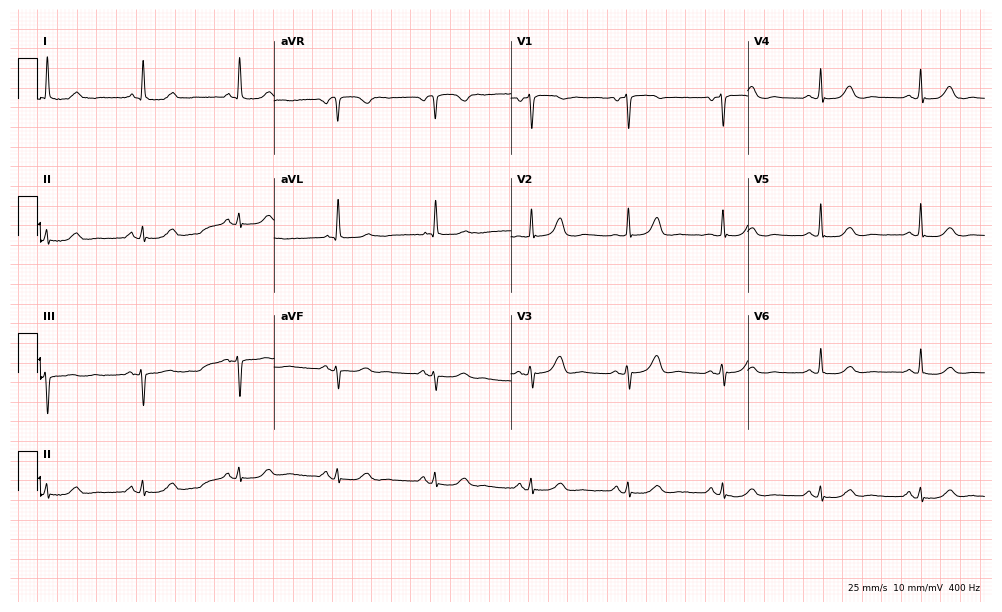
12-lead ECG from an 80-year-old woman (9.7-second recording at 400 Hz). Recorded interpretation: within normal limits.